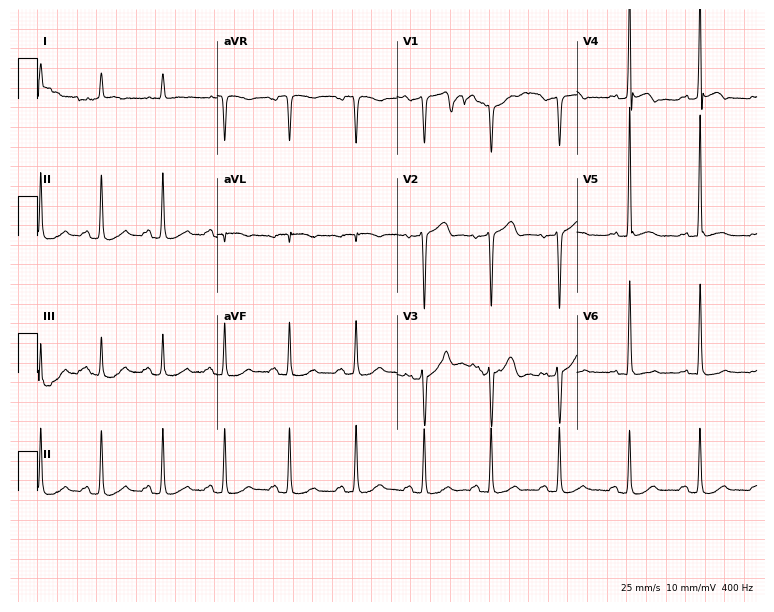
Standard 12-lead ECG recorded from a male patient, 72 years old. None of these six findings is recorded: first-degree AV block, right bundle branch block, left bundle branch block, sinus bradycardia, atrial fibrillation, sinus tachycardia. Only these six findings were labelled.